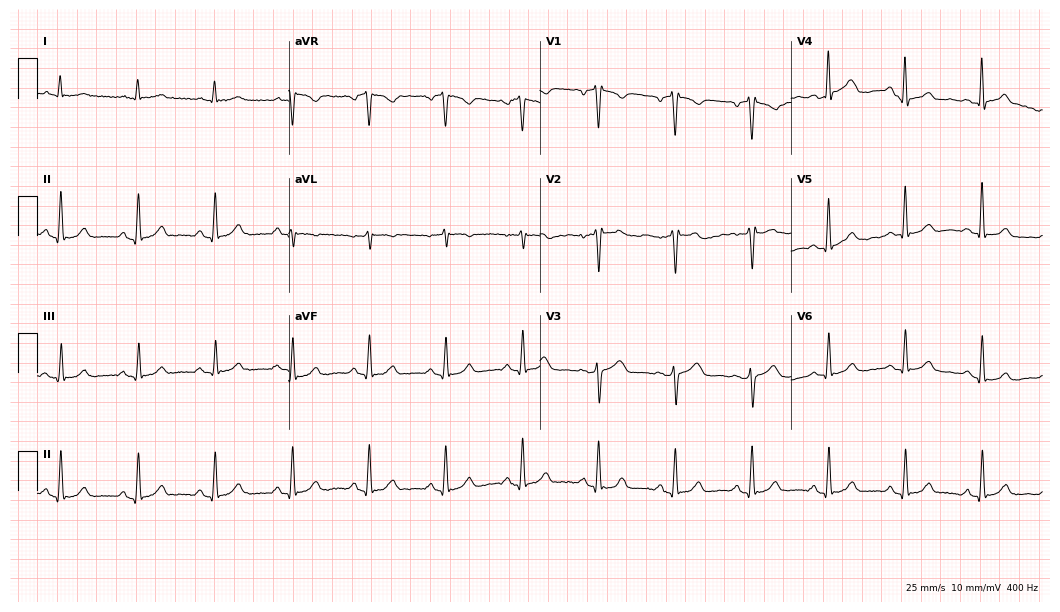
Resting 12-lead electrocardiogram. Patient: a male, 75 years old. Read as a normal ECG.